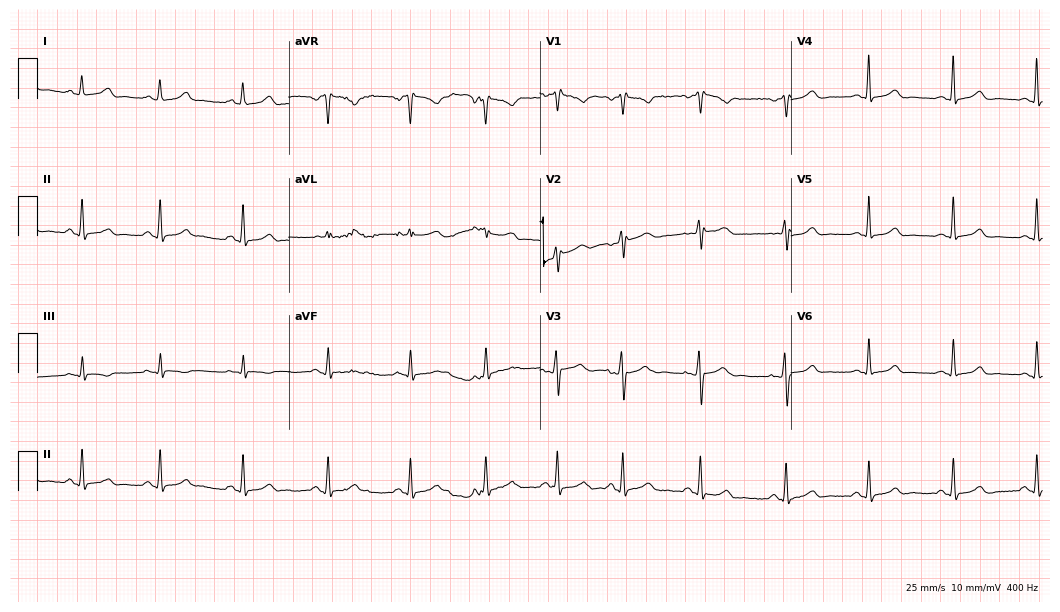
Standard 12-lead ECG recorded from a female patient, 21 years old (10.2-second recording at 400 Hz). None of these six findings is recorded: first-degree AV block, right bundle branch block (RBBB), left bundle branch block (LBBB), sinus bradycardia, atrial fibrillation (AF), sinus tachycardia.